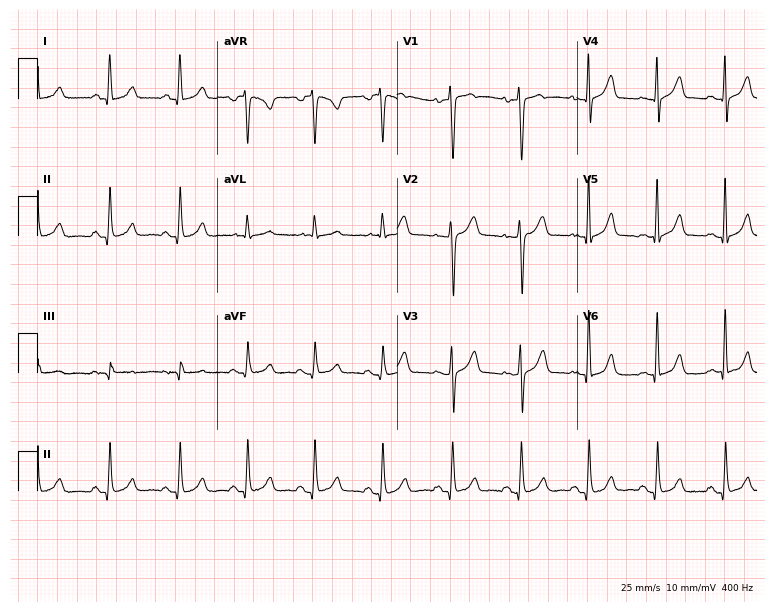
12-lead ECG (7.3-second recording at 400 Hz) from a female, 41 years old. Screened for six findings — first-degree AV block, right bundle branch block, left bundle branch block, sinus bradycardia, atrial fibrillation, sinus tachycardia — none is recorded. Only these six findings were labelled.